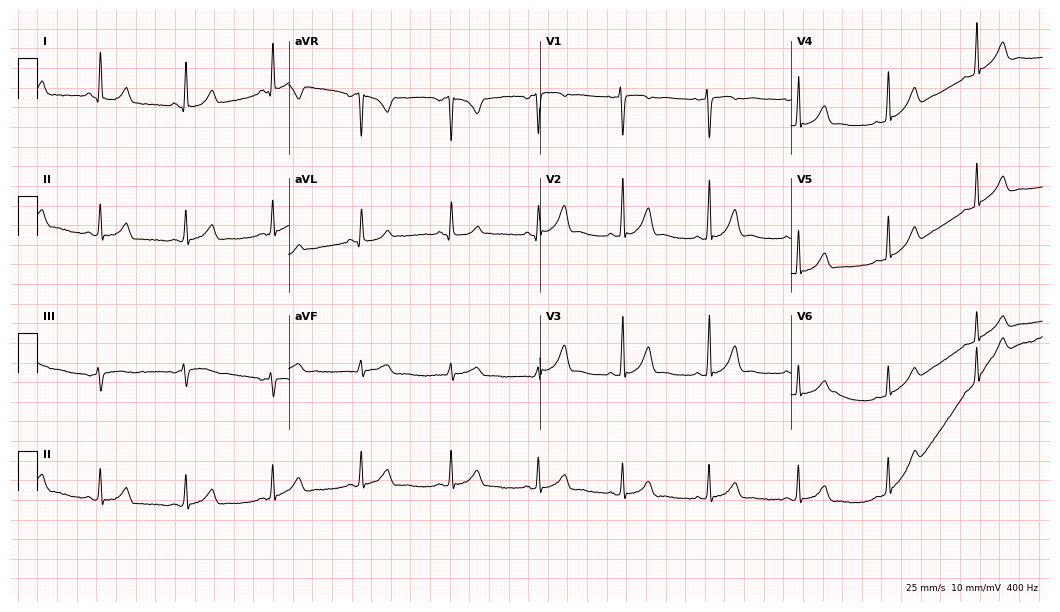
Electrocardiogram (10.2-second recording at 400 Hz), a 20-year-old woman. Of the six screened findings (first-degree AV block, right bundle branch block, left bundle branch block, sinus bradycardia, atrial fibrillation, sinus tachycardia), none is recorded.